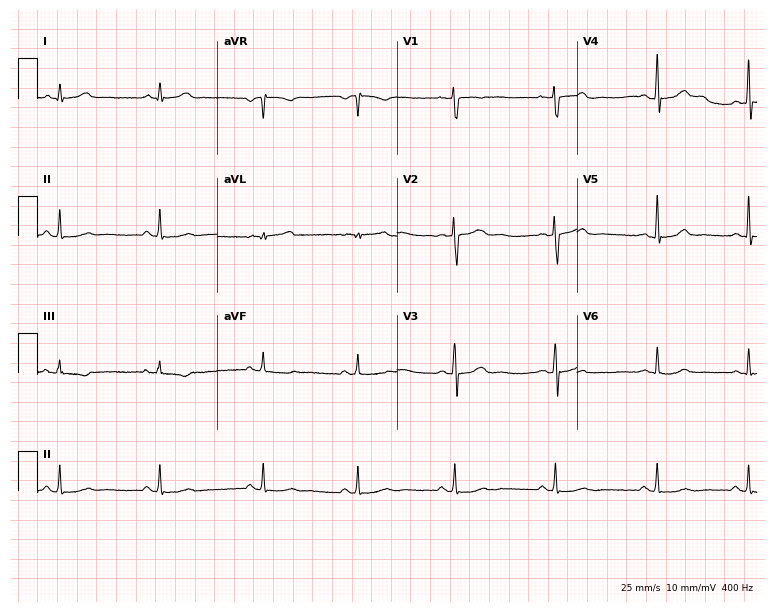
ECG — a female patient, 28 years old. Labelled as a normal ECG.